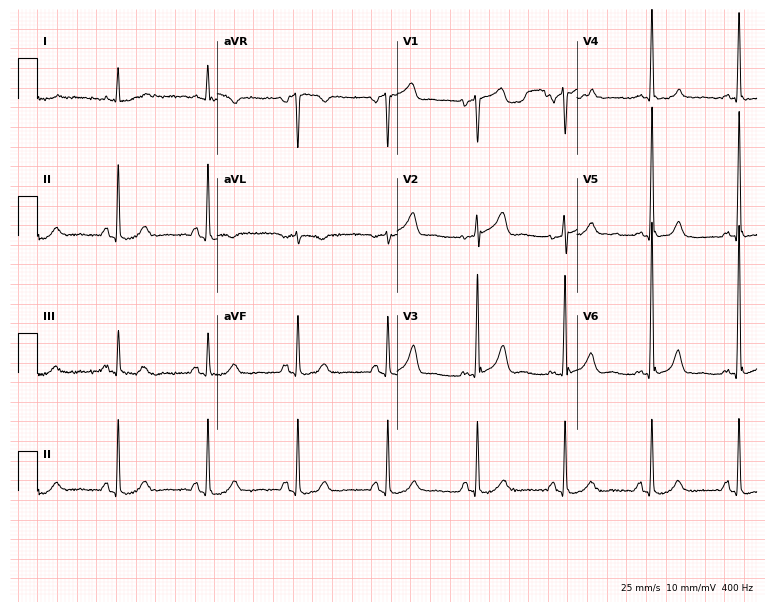
Electrocardiogram, an 83-year-old male patient. Of the six screened findings (first-degree AV block, right bundle branch block (RBBB), left bundle branch block (LBBB), sinus bradycardia, atrial fibrillation (AF), sinus tachycardia), none is recorded. Findings outside these six are not listed.